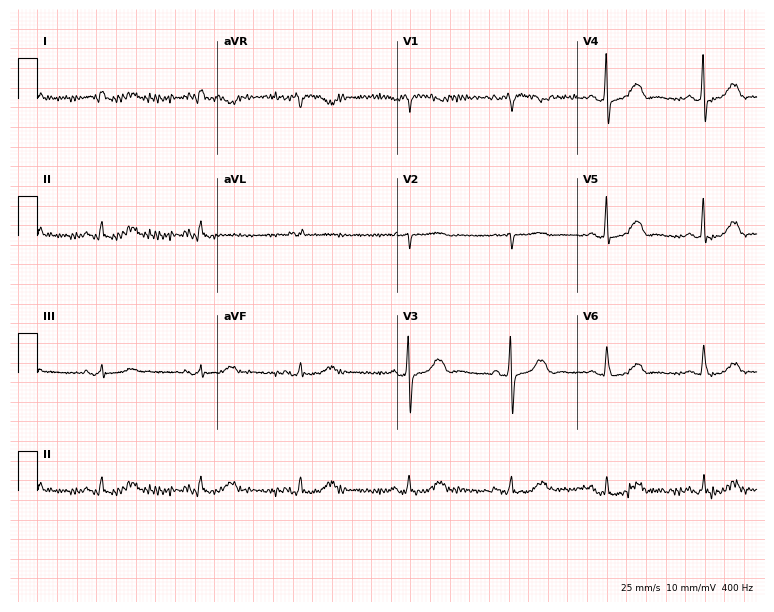
Electrocardiogram (7.3-second recording at 400 Hz), a 75-year-old woman. Overall reading on record: normal ECG.